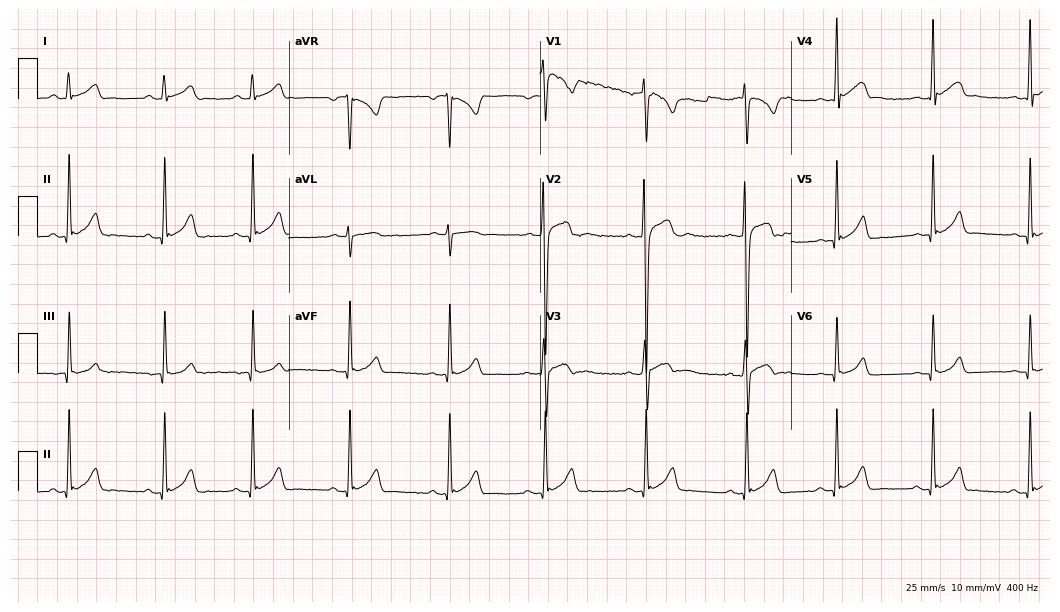
ECG (10.2-second recording at 400 Hz) — a man, 18 years old. Labelled as a normal ECG.